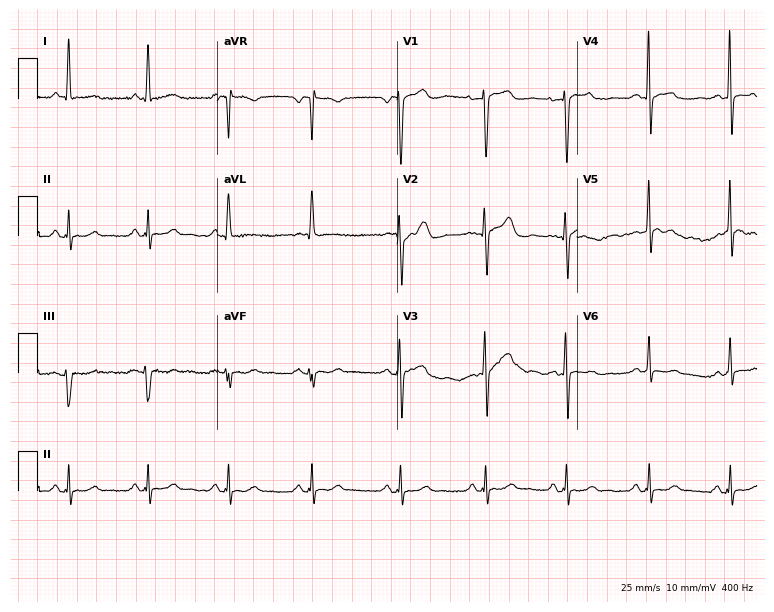
Resting 12-lead electrocardiogram (7.3-second recording at 400 Hz). Patient: a female, 49 years old. None of these six findings is recorded: first-degree AV block, right bundle branch block (RBBB), left bundle branch block (LBBB), sinus bradycardia, atrial fibrillation (AF), sinus tachycardia. Other findings, if any, are not listed.